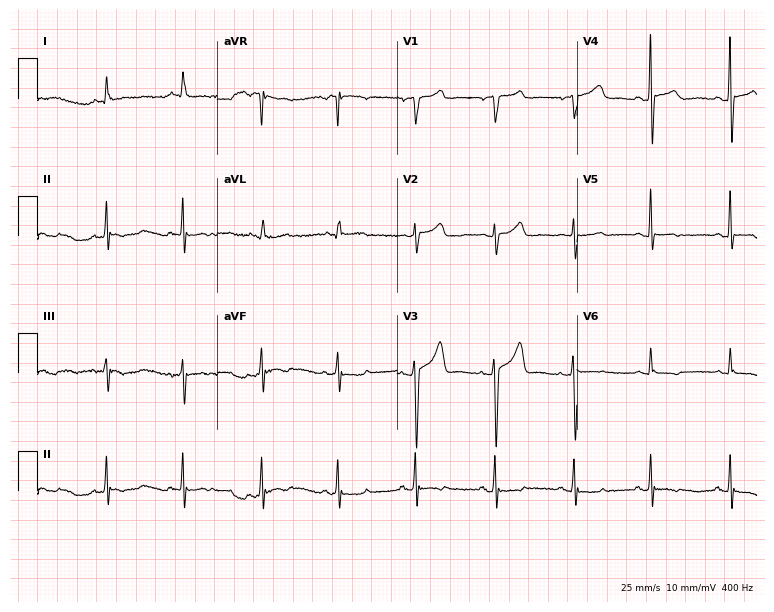
ECG — a 78-year-old woman. Screened for six findings — first-degree AV block, right bundle branch block, left bundle branch block, sinus bradycardia, atrial fibrillation, sinus tachycardia — none is recorded. Findings outside these six are not listed.